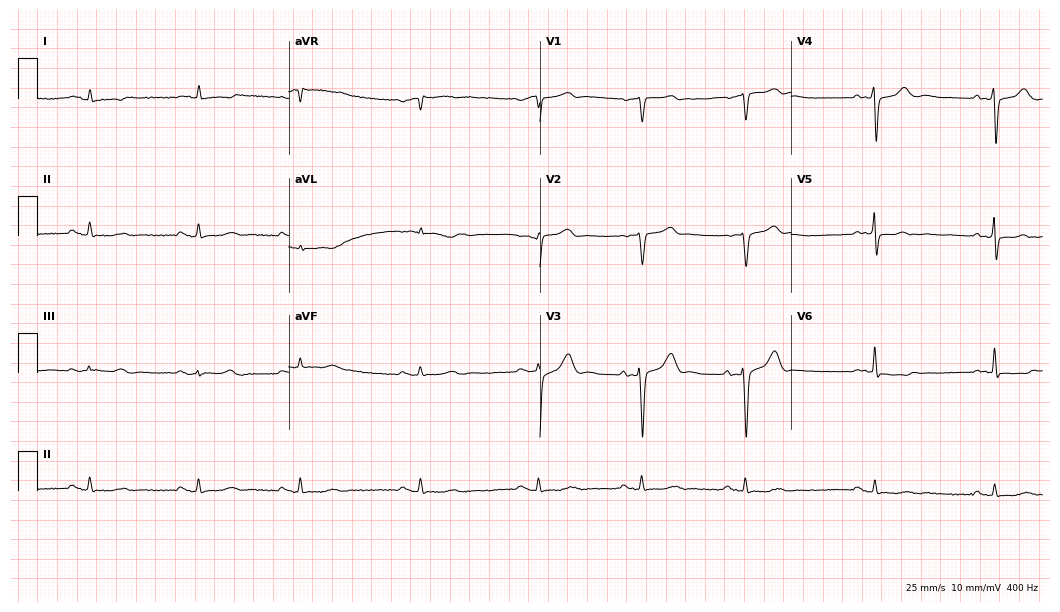
Resting 12-lead electrocardiogram (10.2-second recording at 400 Hz). Patient: a 68-year-old female. Read as a normal ECG.